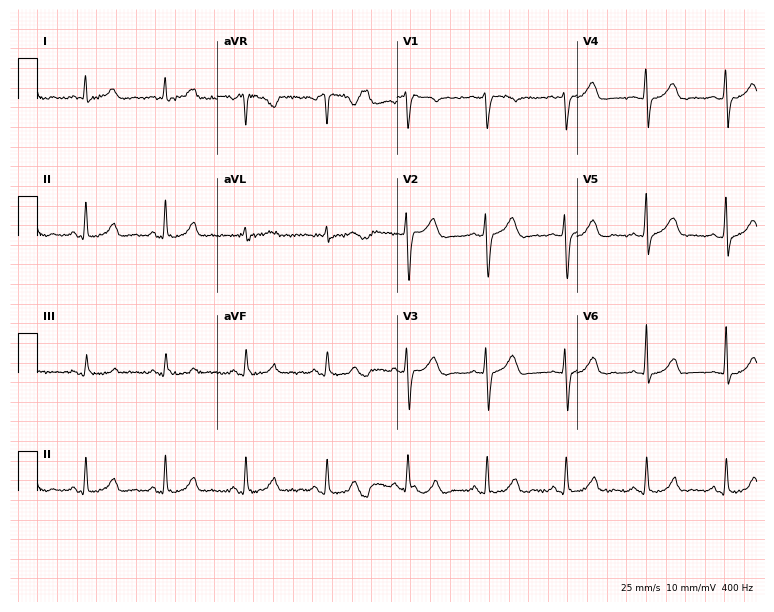
12-lead ECG (7.3-second recording at 400 Hz) from a 41-year-old female. Labelled as a normal ECG.